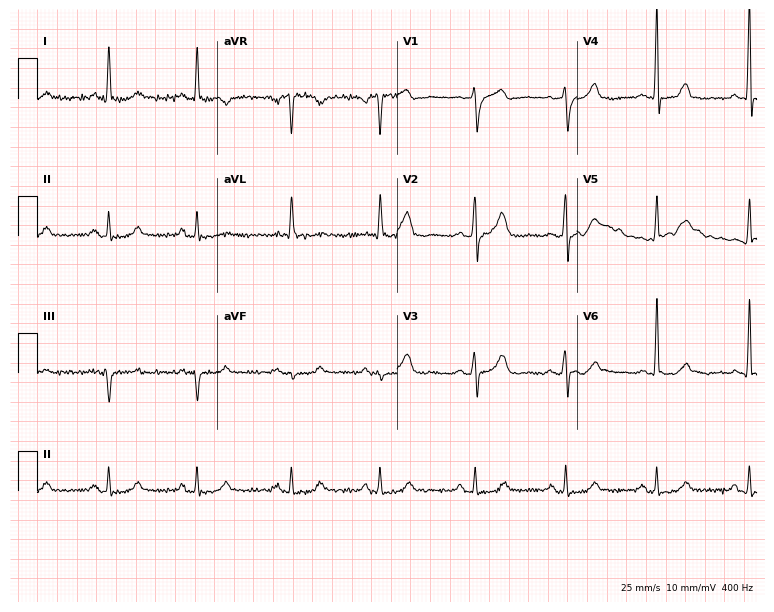
ECG (7.3-second recording at 400 Hz) — a 71-year-old male patient. Screened for six findings — first-degree AV block, right bundle branch block, left bundle branch block, sinus bradycardia, atrial fibrillation, sinus tachycardia — none is recorded. Findings outside these six are not listed.